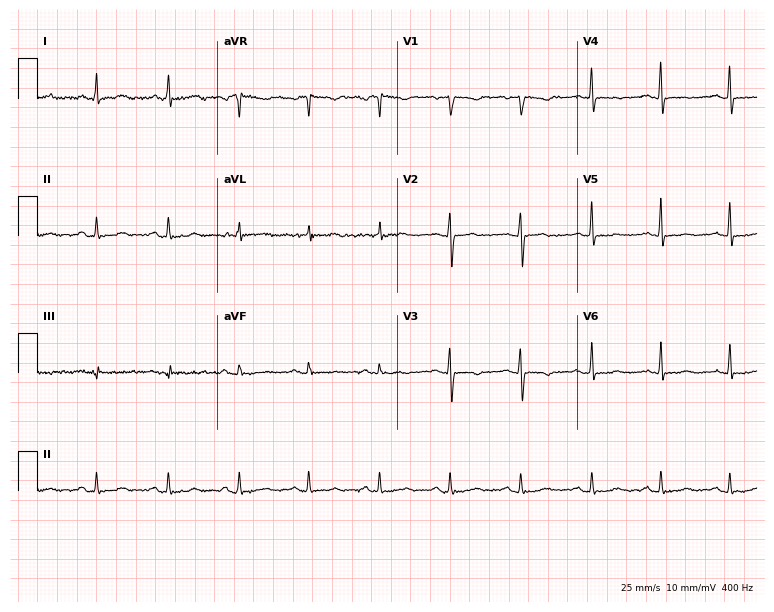
Electrocardiogram (7.3-second recording at 400 Hz), a female patient, 49 years old. Of the six screened findings (first-degree AV block, right bundle branch block, left bundle branch block, sinus bradycardia, atrial fibrillation, sinus tachycardia), none is recorded. Only these six findings were labelled.